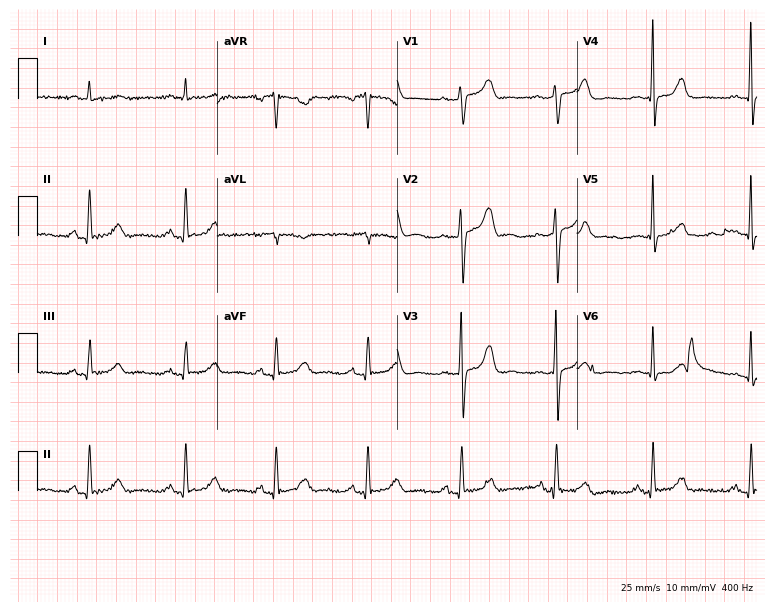
Standard 12-lead ECG recorded from a woman, 74 years old. None of these six findings is recorded: first-degree AV block, right bundle branch block, left bundle branch block, sinus bradycardia, atrial fibrillation, sinus tachycardia.